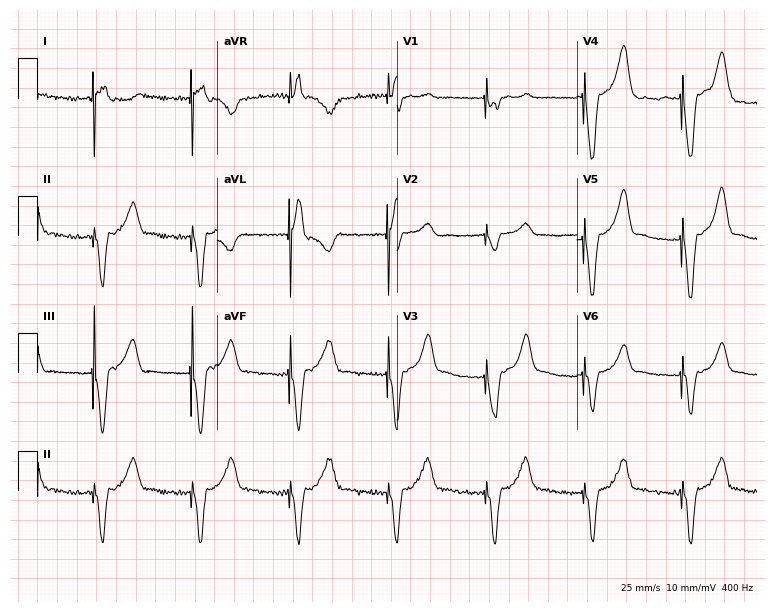
12-lead ECG from a 56-year-old female patient. Screened for six findings — first-degree AV block, right bundle branch block, left bundle branch block, sinus bradycardia, atrial fibrillation, sinus tachycardia — none is recorded.